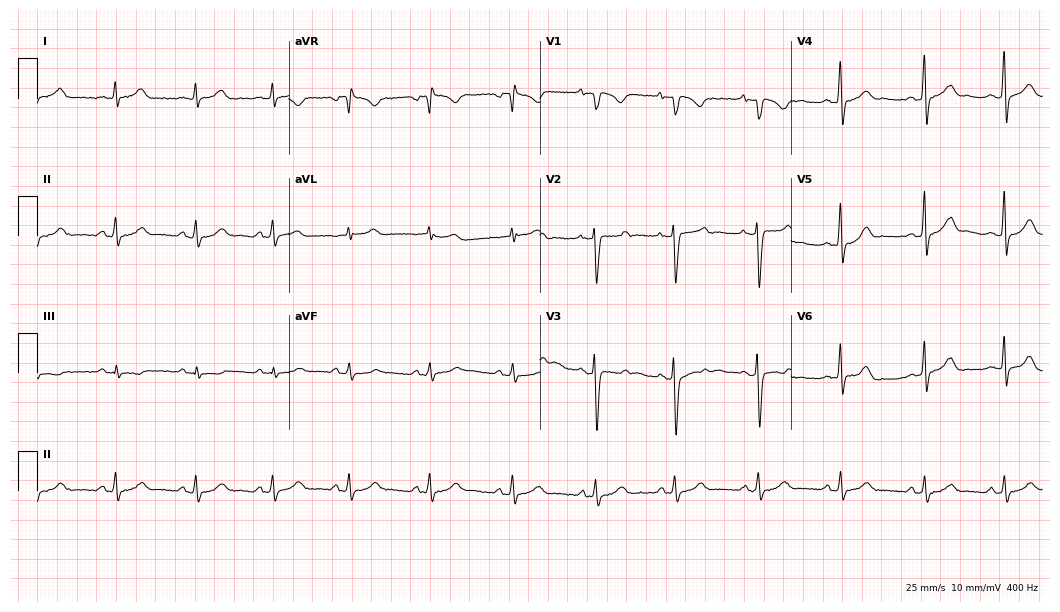
Resting 12-lead electrocardiogram. Patient: a 30-year-old female. Read as a normal ECG.